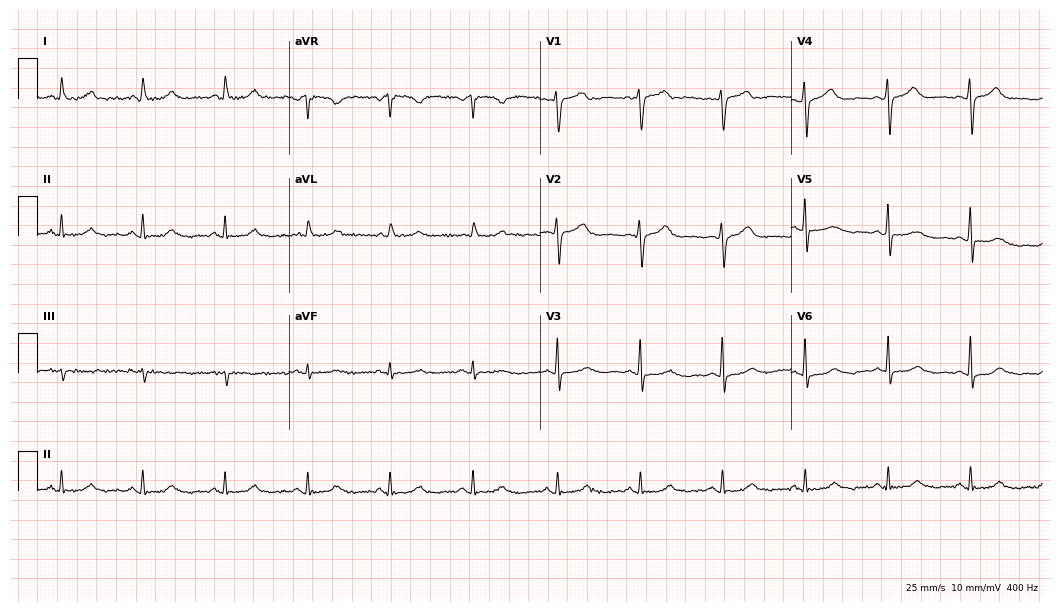
Resting 12-lead electrocardiogram (10.2-second recording at 400 Hz). Patient: a female, 63 years old. None of these six findings is recorded: first-degree AV block, right bundle branch block (RBBB), left bundle branch block (LBBB), sinus bradycardia, atrial fibrillation (AF), sinus tachycardia. Only these six findings were labelled.